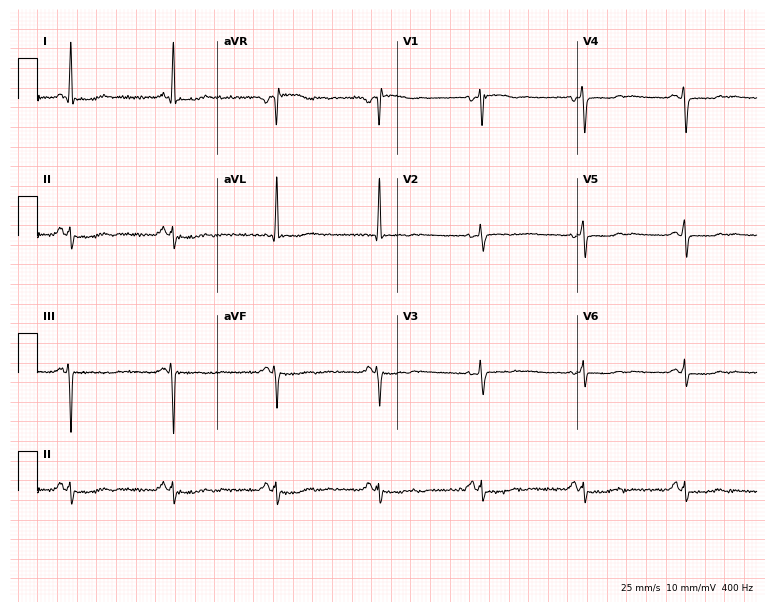
Standard 12-lead ECG recorded from a woman, 71 years old. None of these six findings is recorded: first-degree AV block, right bundle branch block (RBBB), left bundle branch block (LBBB), sinus bradycardia, atrial fibrillation (AF), sinus tachycardia.